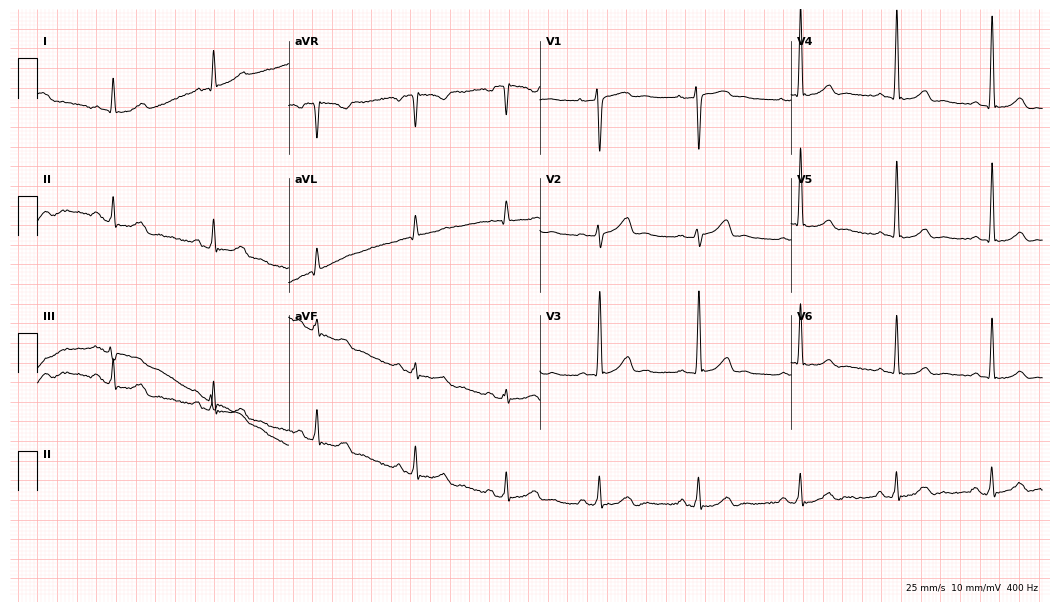
ECG — a female patient, 29 years old. Labelled as a normal ECG.